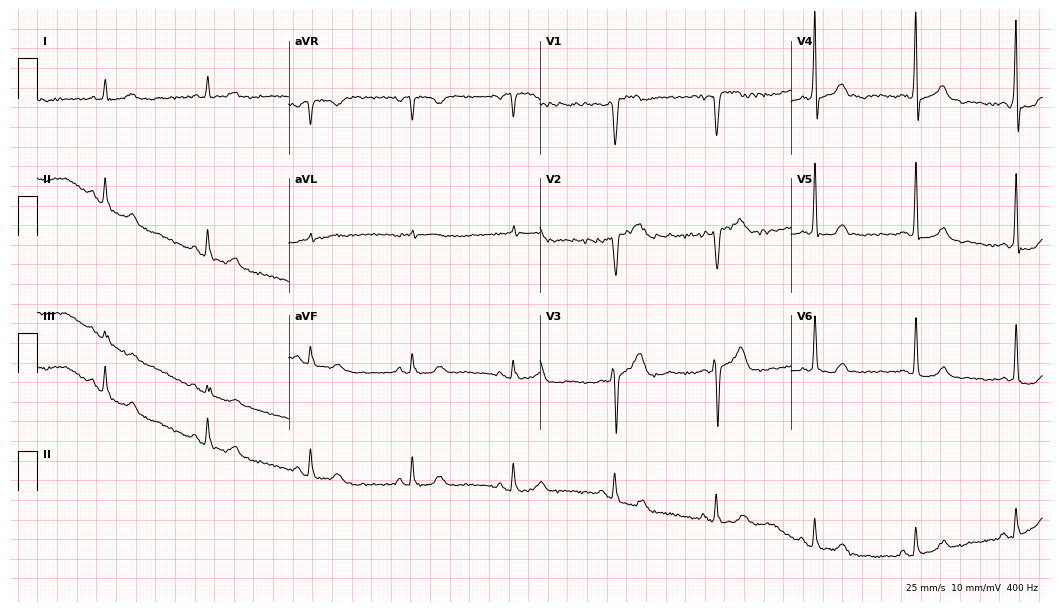
12-lead ECG from a 62-year-old male patient. Recorded interpretation: within normal limits.